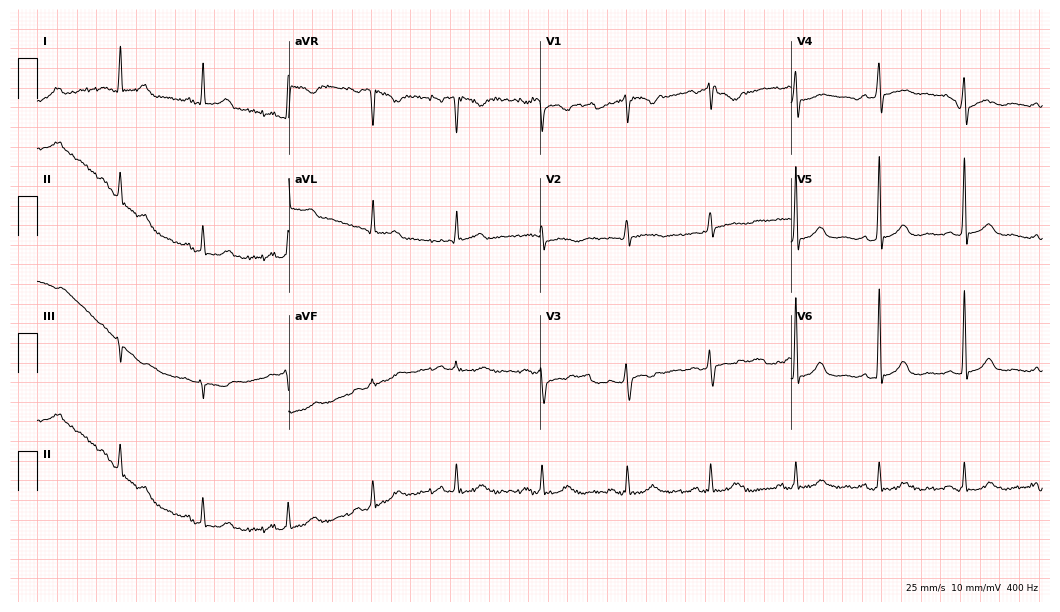
12-lead ECG from a woman, 62 years old. Screened for six findings — first-degree AV block, right bundle branch block, left bundle branch block, sinus bradycardia, atrial fibrillation, sinus tachycardia — none is recorded. Other findings, if any, are not listed.